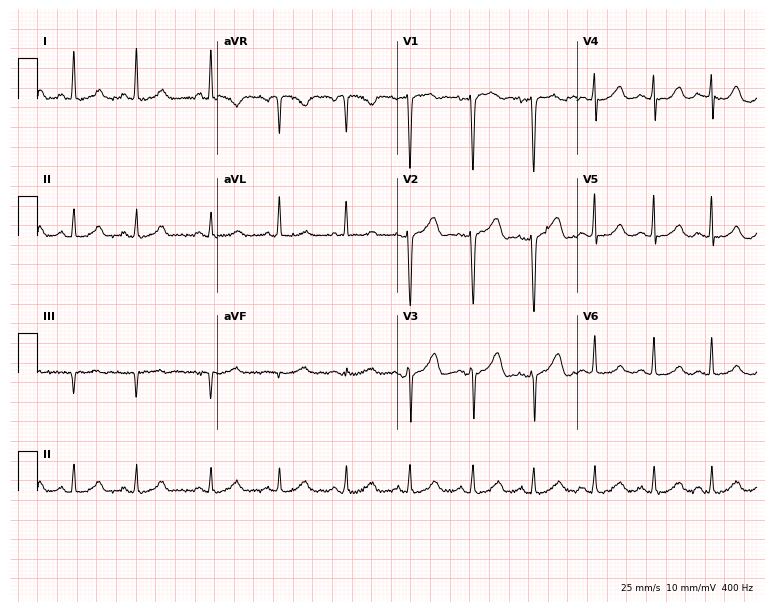
12-lead ECG from a 47-year-old female patient (7.3-second recording at 400 Hz). No first-degree AV block, right bundle branch block, left bundle branch block, sinus bradycardia, atrial fibrillation or sinus tachycardia recorded for this tracing. Only these six findings were labelled.